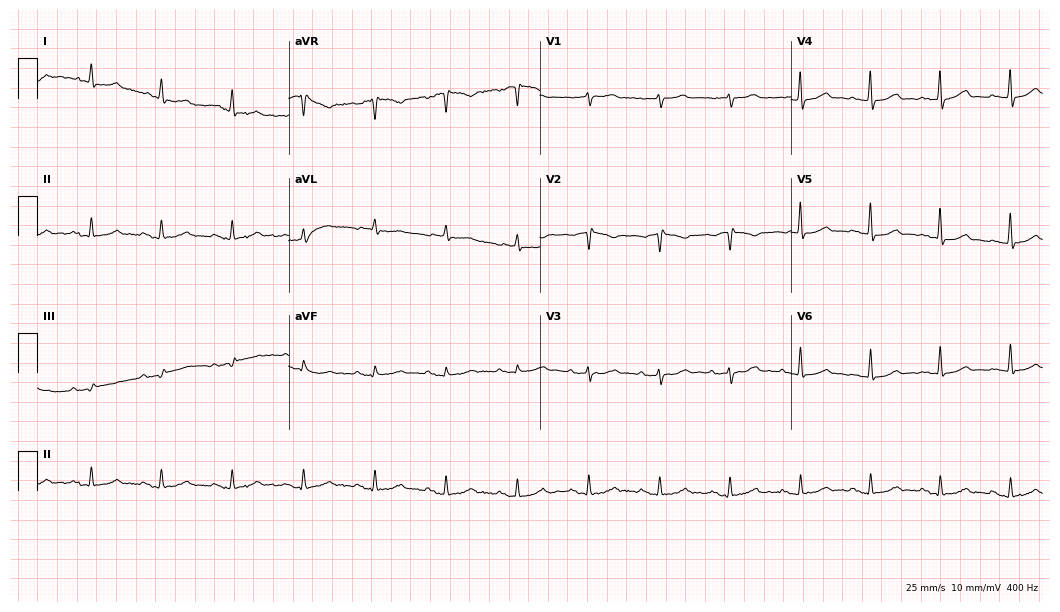
Electrocardiogram (10.2-second recording at 400 Hz), a female, 77 years old. Overall reading on record: normal ECG.